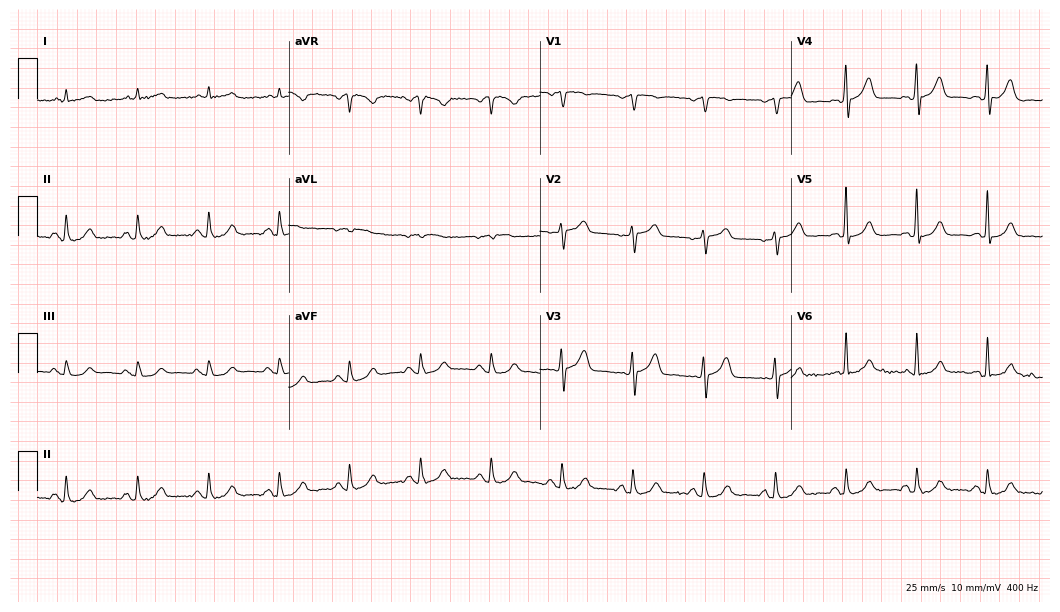
12-lead ECG from a 70-year-old male. Recorded interpretation: within normal limits.